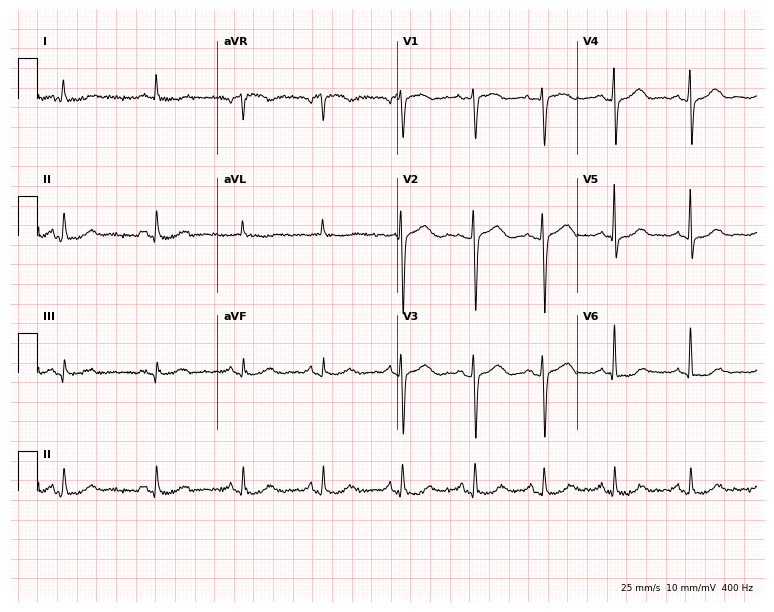
ECG (7.3-second recording at 400 Hz) — a 68-year-old female. Screened for six findings — first-degree AV block, right bundle branch block (RBBB), left bundle branch block (LBBB), sinus bradycardia, atrial fibrillation (AF), sinus tachycardia — none is recorded. Other findings, if any, are not listed.